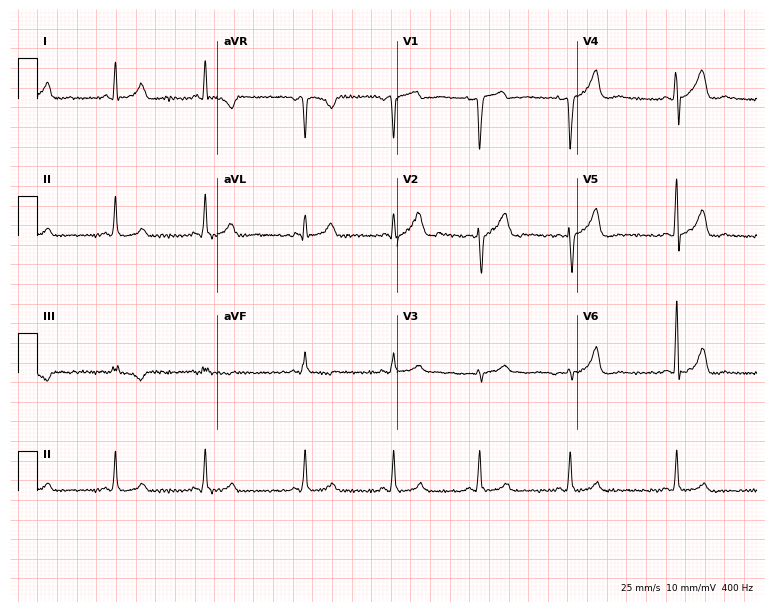
12-lead ECG from a male, 30 years old. Recorded interpretation: within normal limits.